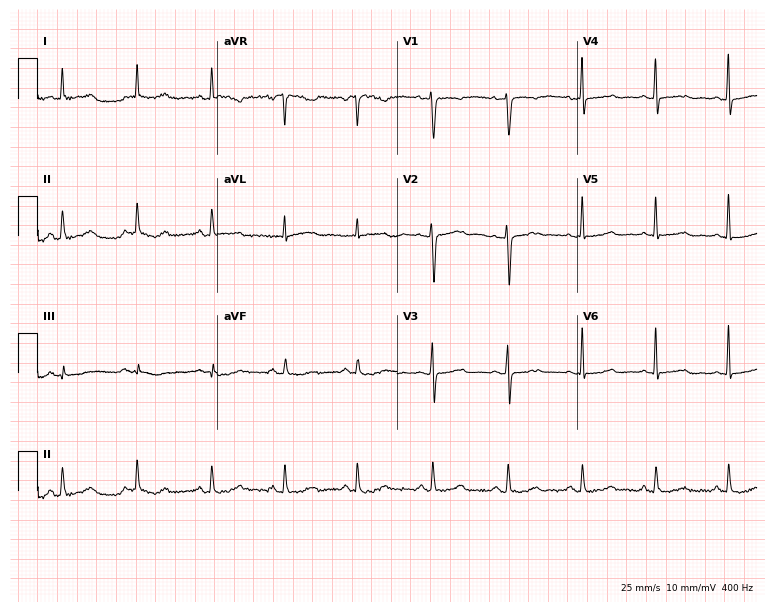
12-lead ECG from a female, 65 years old. No first-degree AV block, right bundle branch block (RBBB), left bundle branch block (LBBB), sinus bradycardia, atrial fibrillation (AF) or sinus tachycardia recorded for this tracing. Findings outside these six are not listed.